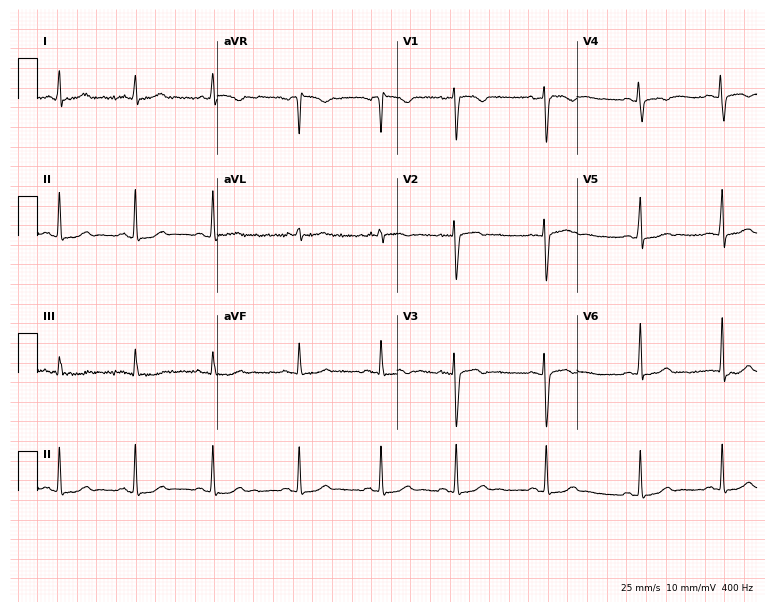
12-lead ECG from a female patient, 30 years old. No first-degree AV block, right bundle branch block, left bundle branch block, sinus bradycardia, atrial fibrillation or sinus tachycardia recorded for this tracing. Other findings, if any, are not listed.